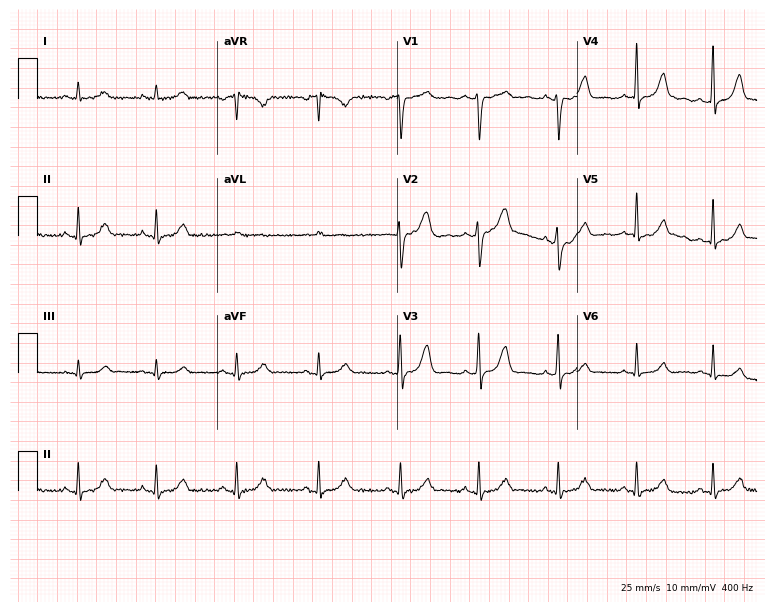
Electrocardiogram, a woman, 43 years old. Of the six screened findings (first-degree AV block, right bundle branch block (RBBB), left bundle branch block (LBBB), sinus bradycardia, atrial fibrillation (AF), sinus tachycardia), none is recorded. Findings outside these six are not listed.